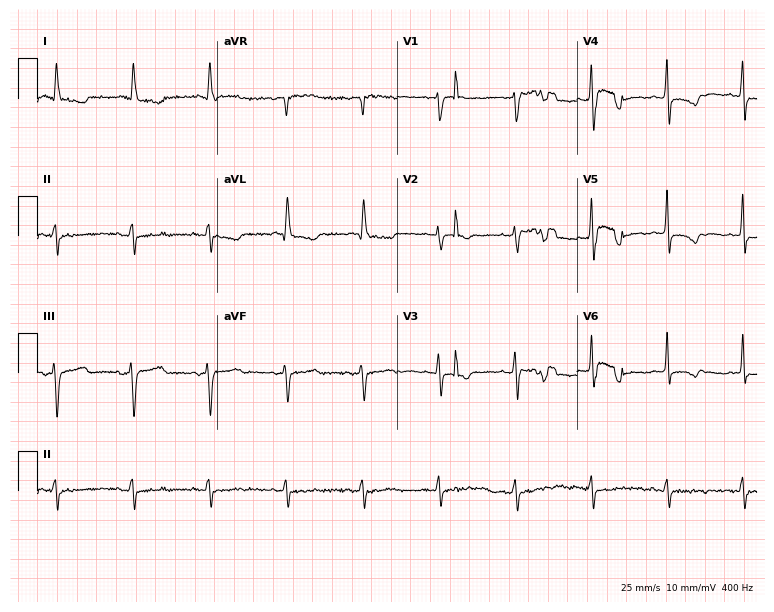
Standard 12-lead ECG recorded from a female, 69 years old. None of these six findings is recorded: first-degree AV block, right bundle branch block, left bundle branch block, sinus bradycardia, atrial fibrillation, sinus tachycardia. Only these six findings were labelled.